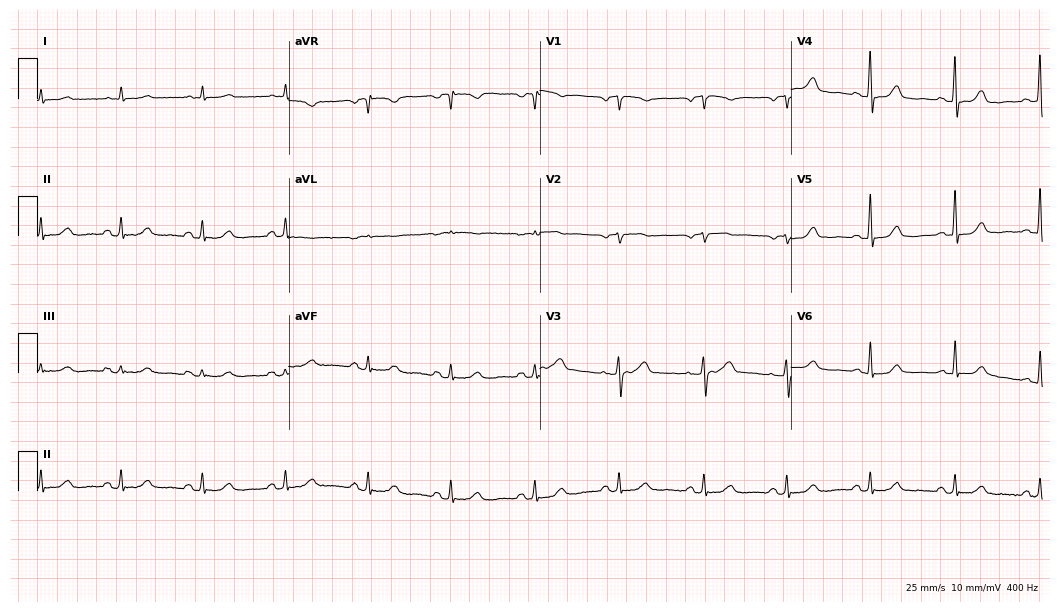
Electrocardiogram (10.2-second recording at 400 Hz), a female patient, 73 years old. Overall reading on record: normal ECG.